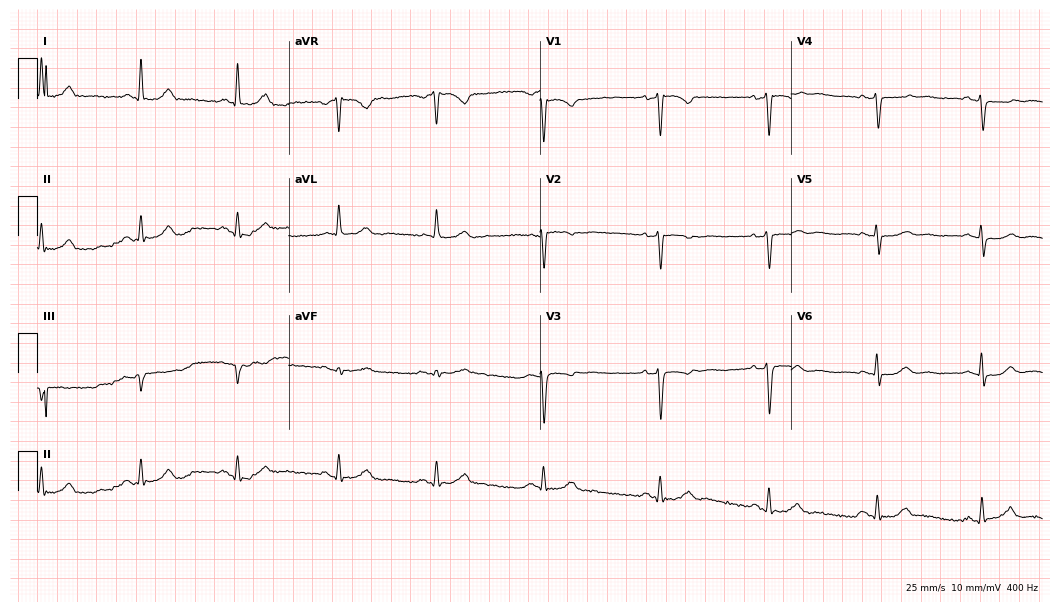
Standard 12-lead ECG recorded from a 66-year-old woman (10.2-second recording at 400 Hz). None of these six findings is recorded: first-degree AV block, right bundle branch block (RBBB), left bundle branch block (LBBB), sinus bradycardia, atrial fibrillation (AF), sinus tachycardia.